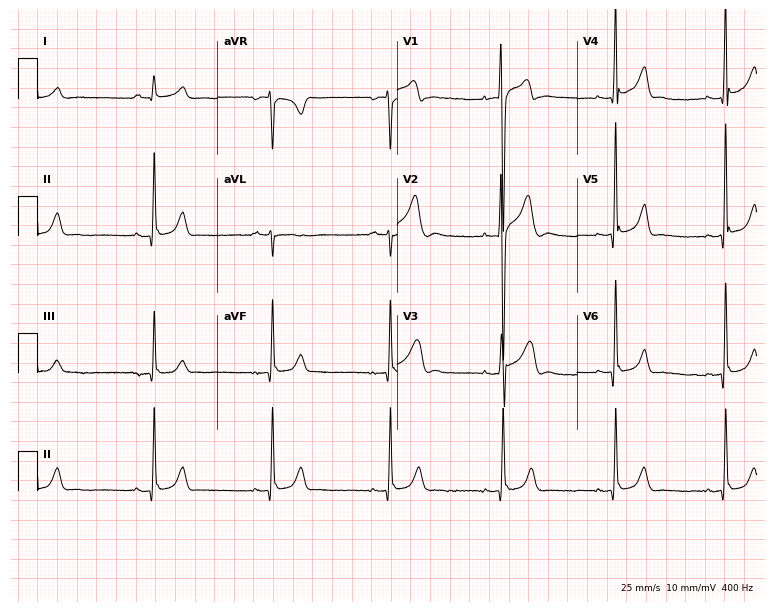
Resting 12-lead electrocardiogram (7.3-second recording at 400 Hz). Patient: a male, 20 years old. None of these six findings is recorded: first-degree AV block, right bundle branch block (RBBB), left bundle branch block (LBBB), sinus bradycardia, atrial fibrillation (AF), sinus tachycardia. Findings outside these six are not listed.